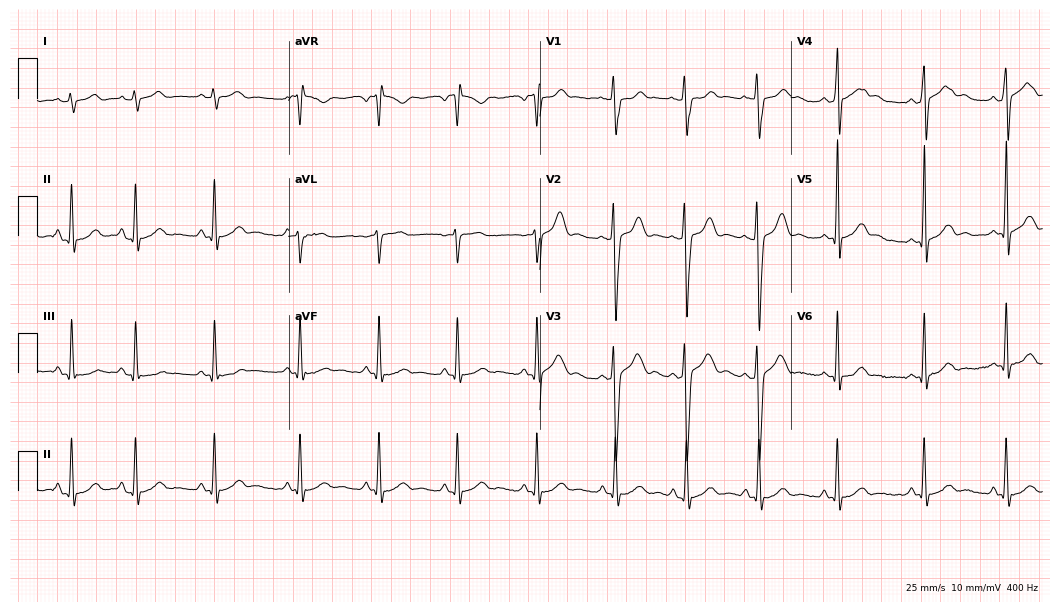
Resting 12-lead electrocardiogram (10.2-second recording at 400 Hz). Patient: a man, 17 years old. Read as a normal ECG.